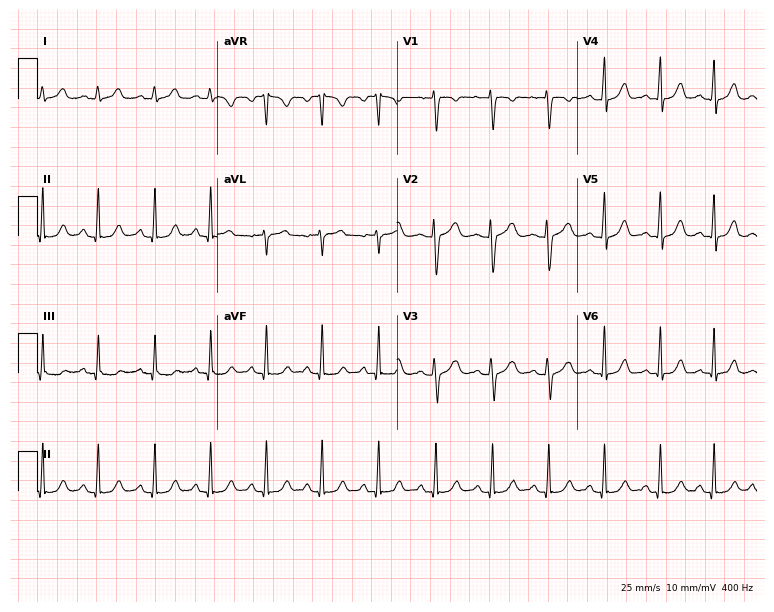
ECG (7.3-second recording at 400 Hz) — a 42-year-old female patient. Labelled as a normal ECG.